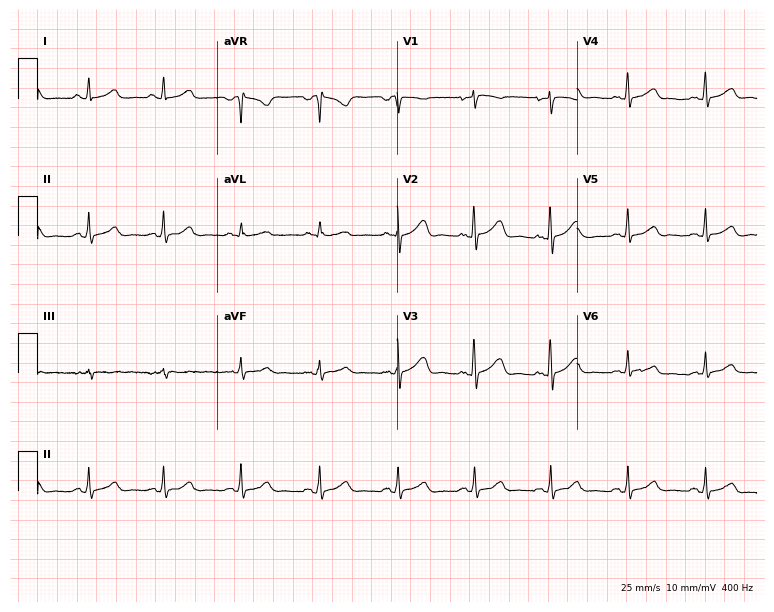
Electrocardiogram (7.3-second recording at 400 Hz), a female, 43 years old. Of the six screened findings (first-degree AV block, right bundle branch block, left bundle branch block, sinus bradycardia, atrial fibrillation, sinus tachycardia), none is recorded. Findings outside these six are not listed.